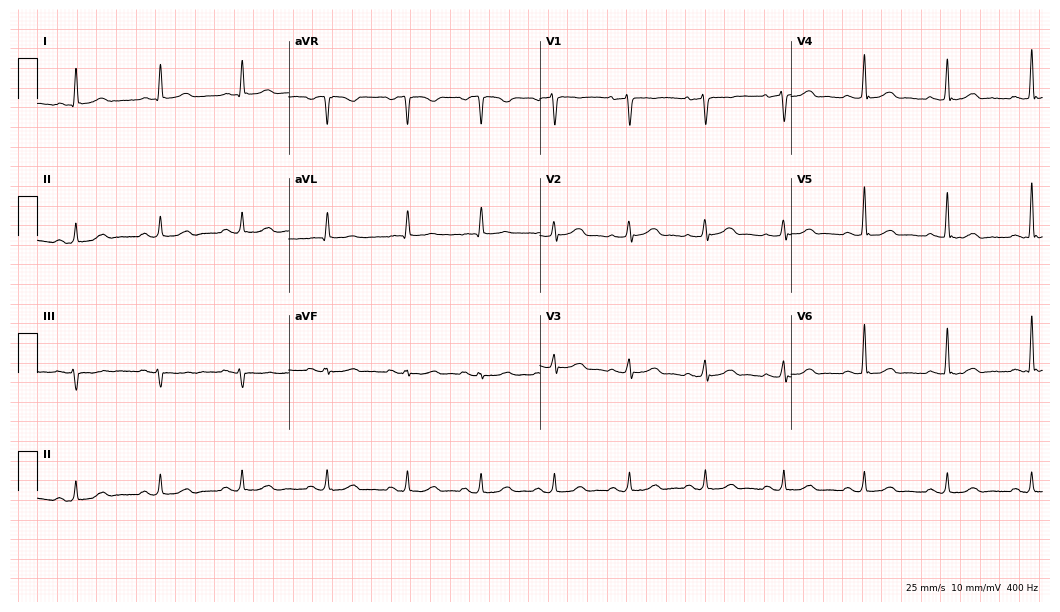
Resting 12-lead electrocardiogram. Patient: a 54-year-old man. Read as a normal ECG.